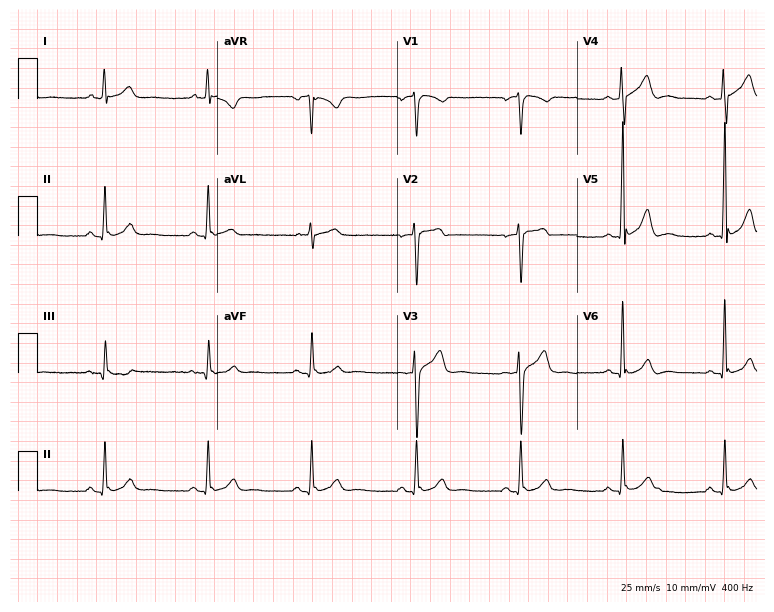
12-lead ECG from a male, 20 years old. Recorded interpretation: within normal limits.